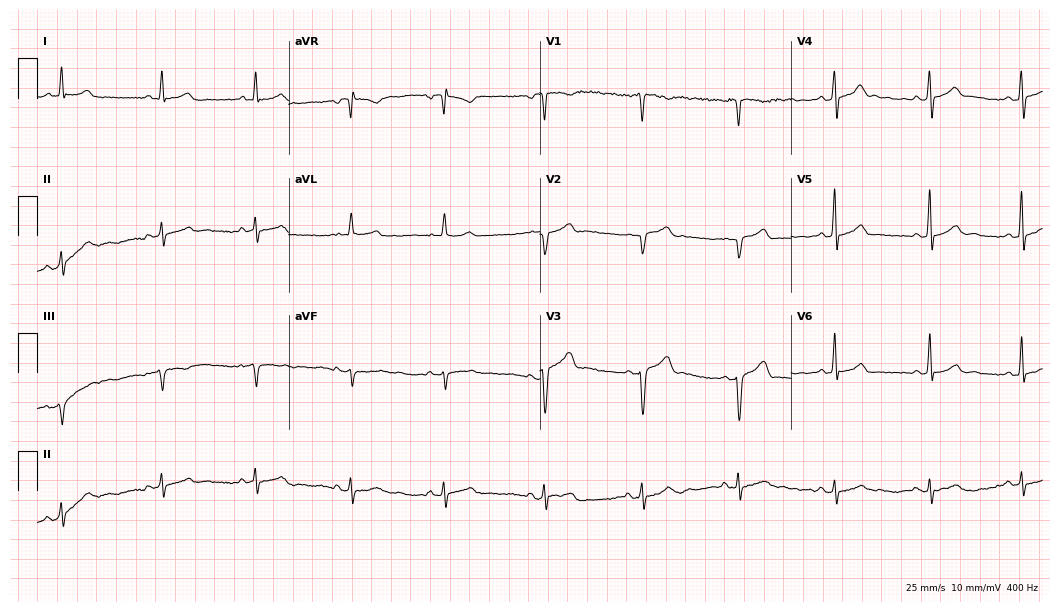
Resting 12-lead electrocardiogram (10.2-second recording at 400 Hz). Patient: a 39-year-old man. None of these six findings is recorded: first-degree AV block, right bundle branch block (RBBB), left bundle branch block (LBBB), sinus bradycardia, atrial fibrillation (AF), sinus tachycardia.